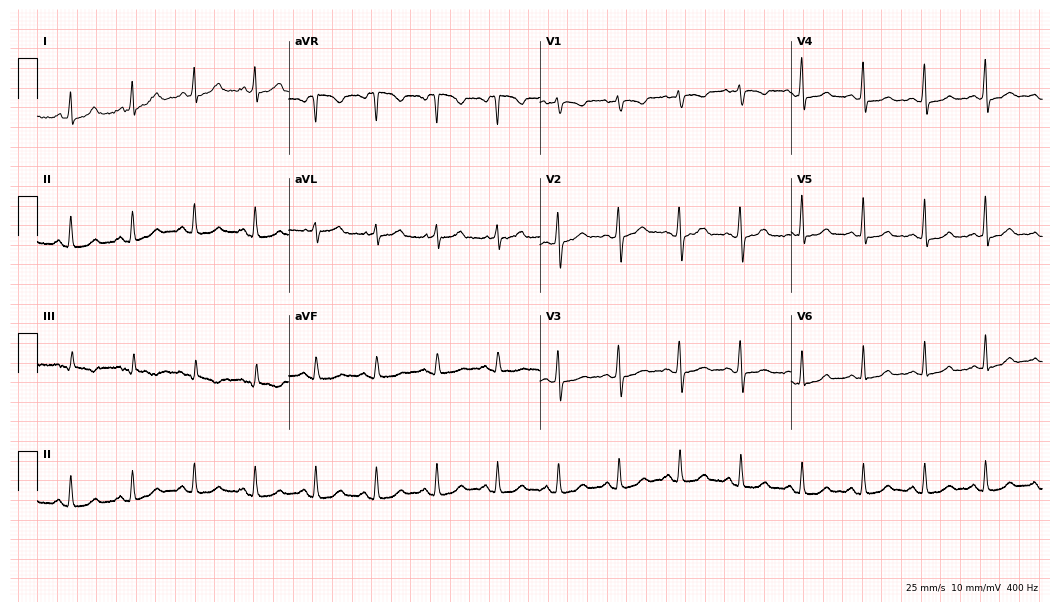
Resting 12-lead electrocardiogram (10.2-second recording at 400 Hz). Patient: a 49-year-old woman. Read as a normal ECG.